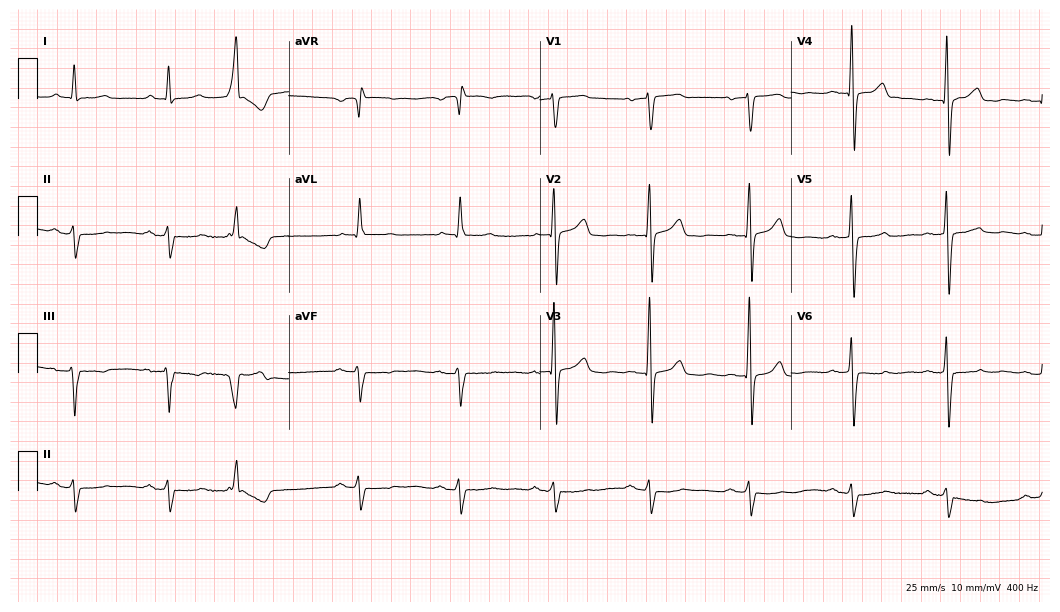
ECG (10.2-second recording at 400 Hz) — an 84-year-old female. Screened for six findings — first-degree AV block, right bundle branch block, left bundle branch block, sinus bradycardia, atrial fibrillation, sinus tachycardia — none is recorded.